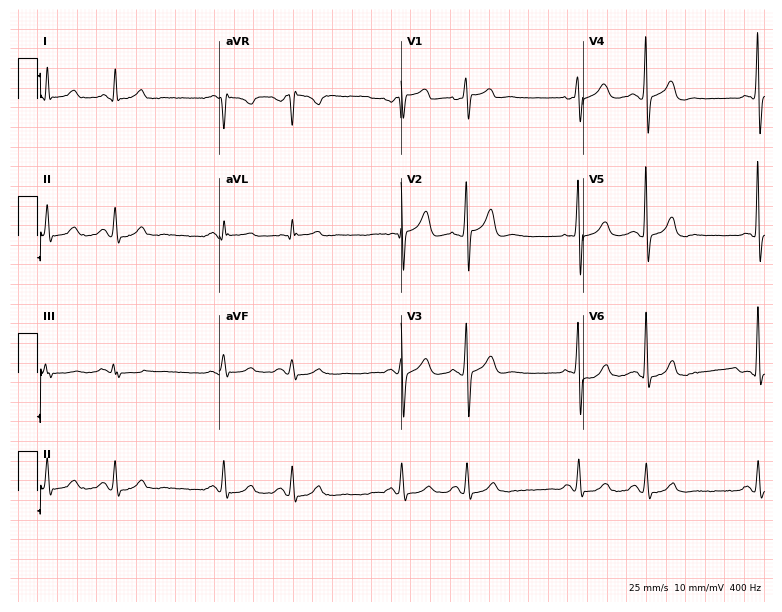
ECG (7.4-second recording at 400 Hz) — a 71-year-old male patient. Screened for six findings — first-degree AV block, right bundle branch block, left bundle branch block, sinus bradycardia, atrial fibrillation, sinus tachycardia — none is recorded.